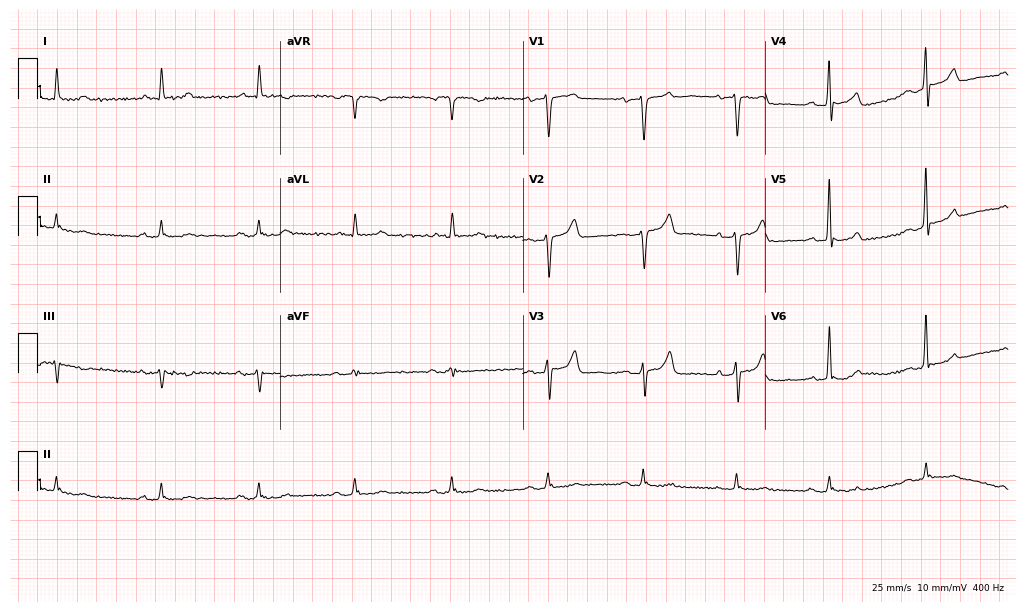
Standard 12-lead ECG recorded from a 67-year-old male (9.9-second recording at 400 Hz). Read as a normal ECG.